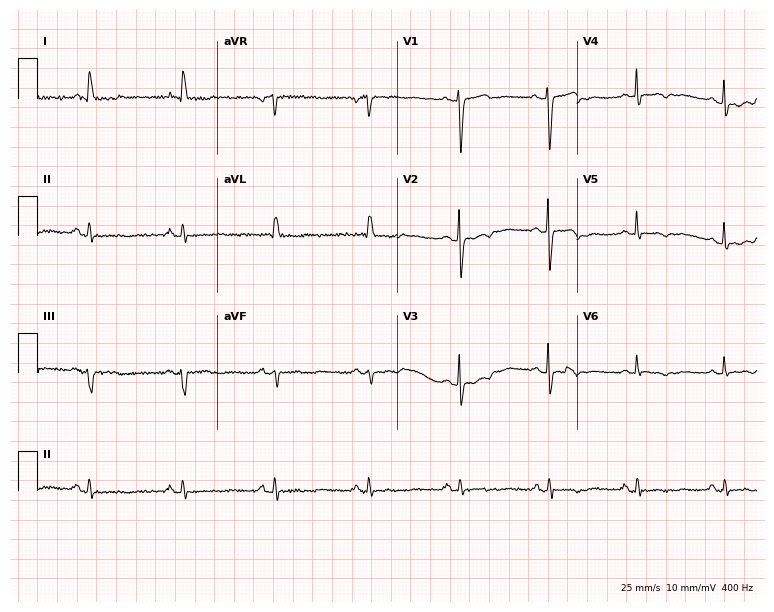
Resting 12-lead electrocardiogram. Patient: a female, 73 years old. None of these six findings is recorded: first-degree AV block, right bundle branch block, left bundle branch block, sinus bradycardia, atrial fibrillation, sinus tachycardia.